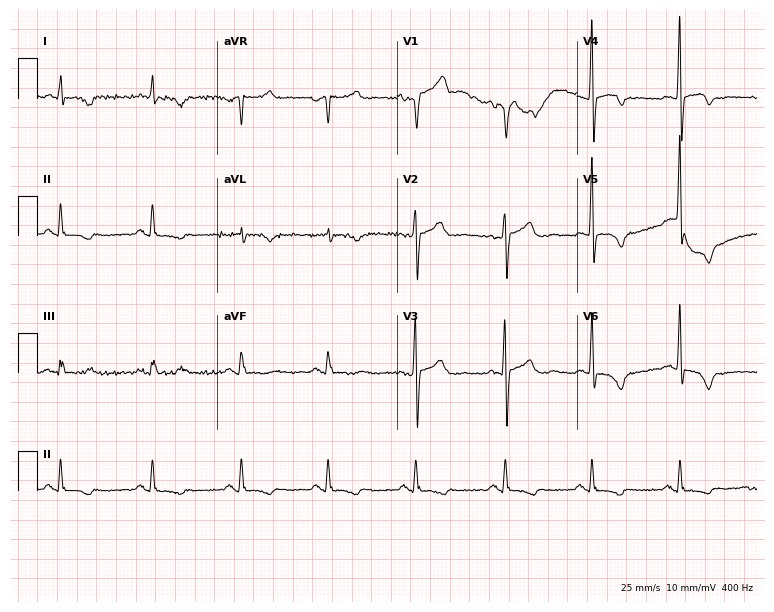
ECG (7.3-second recording at 400 Hz) — a 63-year-old male. Screened for six findings — first-degree AV block, right bundle branch block, left bundle branch block, sinus bradycardia, atrial fibrillation, sinus tachycardia — none is recorded.